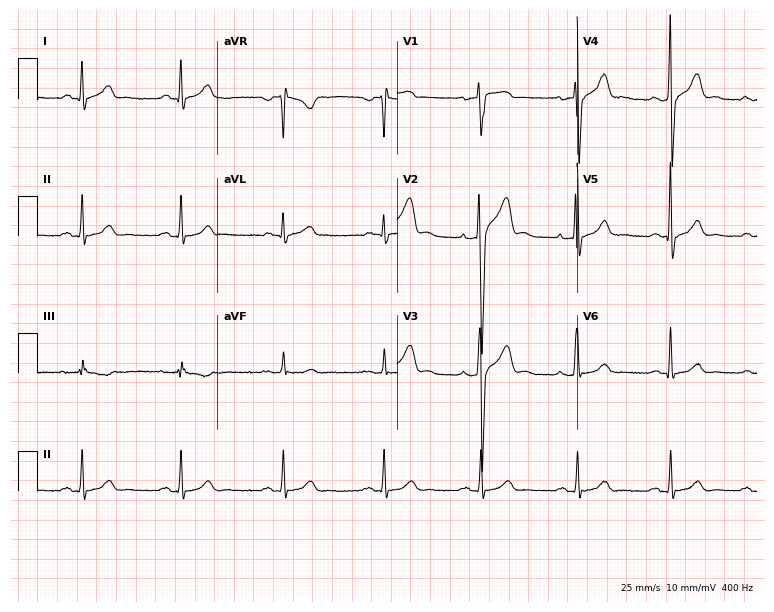
12-lead ECG from a man, 49 years old (7.3-second recording at 400 Hz). Recorded interpretation: within normal limits.